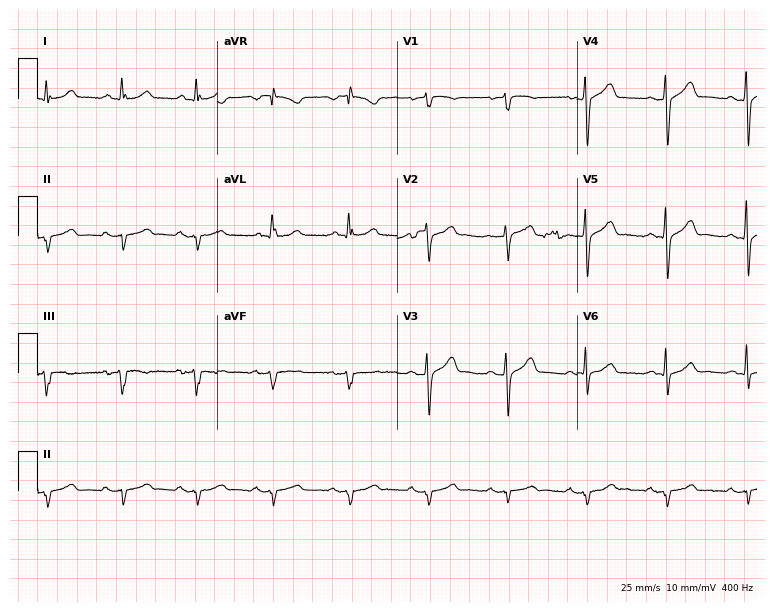
12-lead ECG from a man, 64 years old (7.3-second recording at 400 Hz). No first-degree AV block, right bundle branch block, left bundle branch block, sinus bradycardia, atrial fibrillation or sinus tachycardia recorded for this tracing. Findings outside these six are not listed.